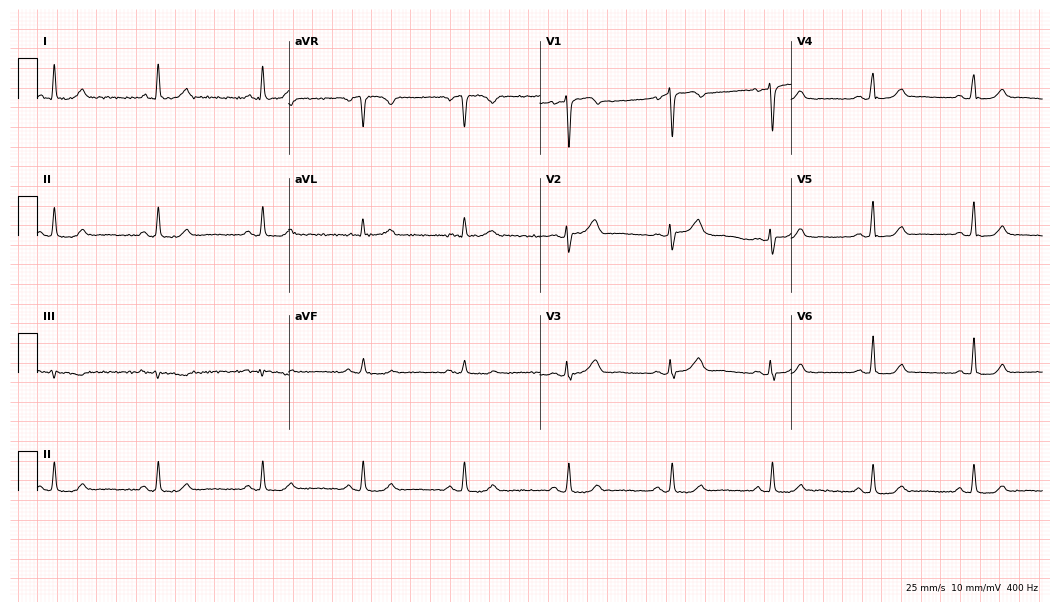
Electrocardiogram (10.2-second recording at 400 Hz), a 48-year-old female. Overall reading on record: normal ECG.